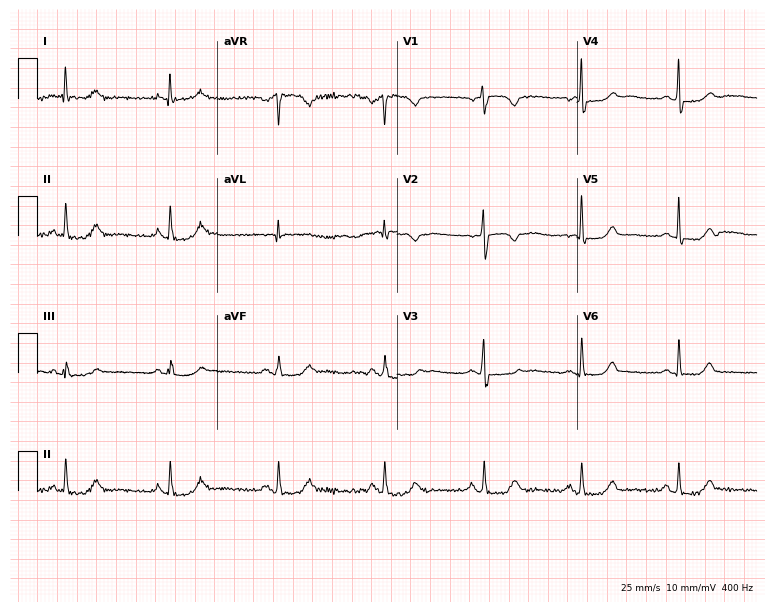
Resting 12-lead electrocardiogram. Patient: a female, 47 years old. Read as a normal ECG.